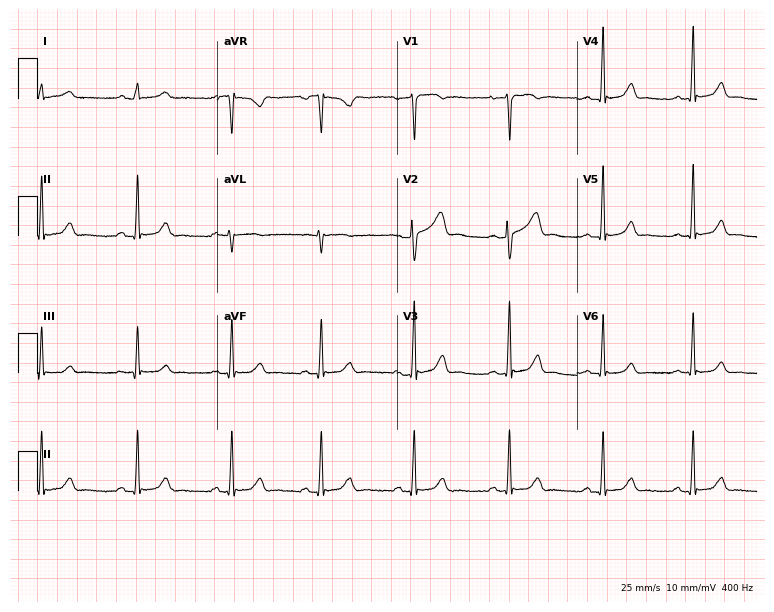
12-lead ECG from a woman, 40 years old (7.3-second recording at 400 Hz). Recorded interpretation: within normal limits.